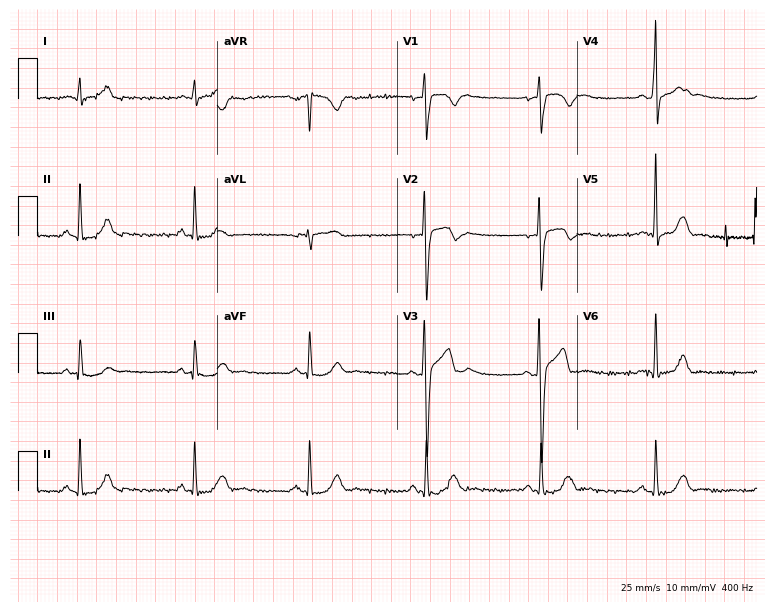
Electrocardiogram, a 33-year-old male. Overall reading on record: normal ECG.